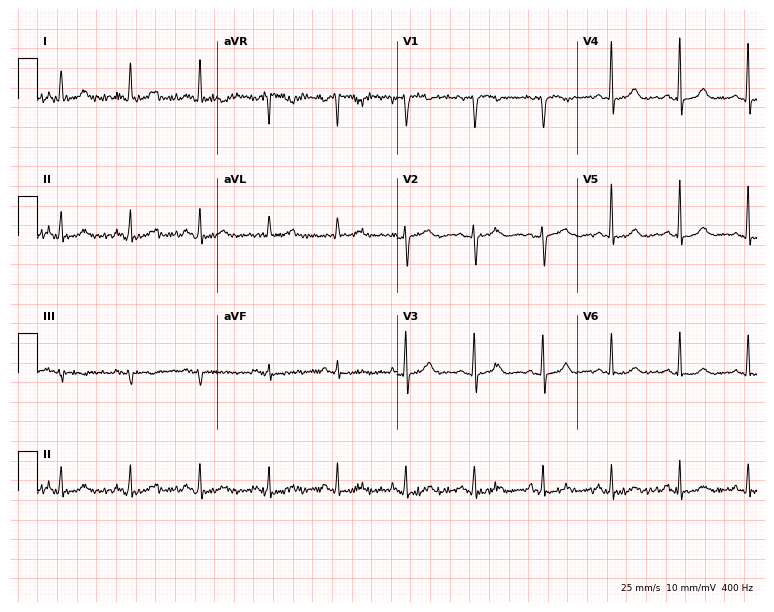
Electrocardiogram, an 84-year-old female patient. Of the six screened findings (first-degree AV block, right bundle branch block, left bundle branch block, sinus bradycardia, atrial fibrillation, sinus tachycardia), none is recorded.